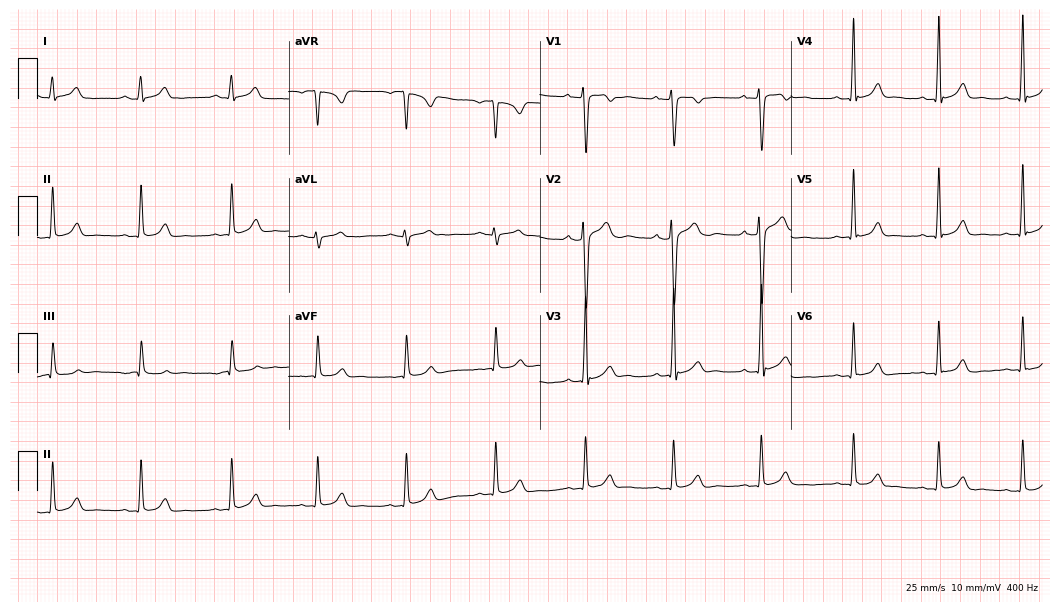
12-lead ECG (10.2-second recording at 400 Hz) from an 18-year-old male patient. Labelled as a normal ECG.